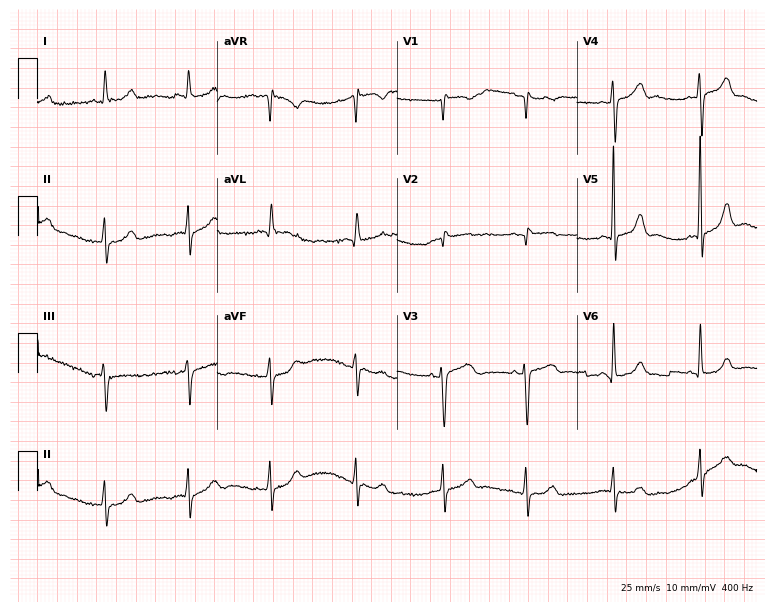
12-lead ECG from a 66-year-old female patient (7.3-second recording at 400 Hz). No first-degree AV block, right bundle branch block (RBBB), left bundle branch block (LBBB), sinus bradycardia, atrial fibrillation (AF) or sinus tachycardia recorded for this tracing.